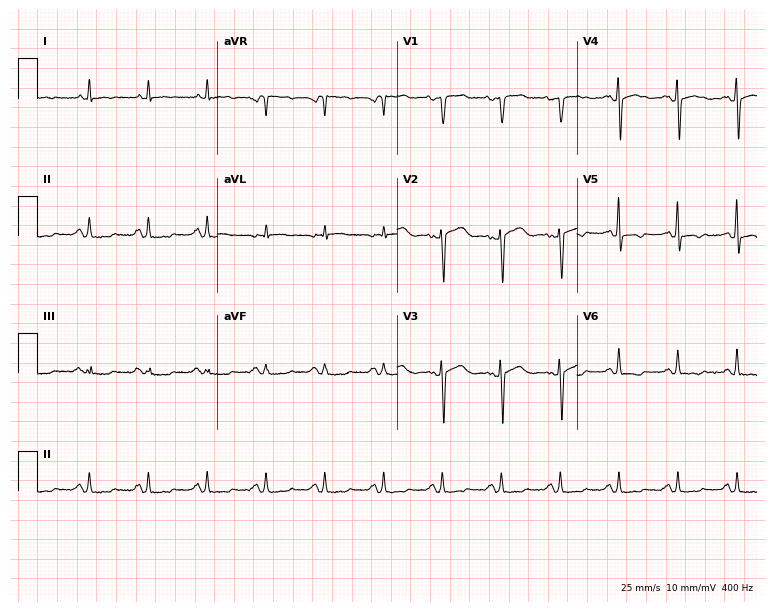
Standard 12-lead ECG recorded from a male, 51 years old (7.3-second recording at 400 Hz). The tracing shows sinus tachycardia (a sinus rate of 100 beats per minute or more).